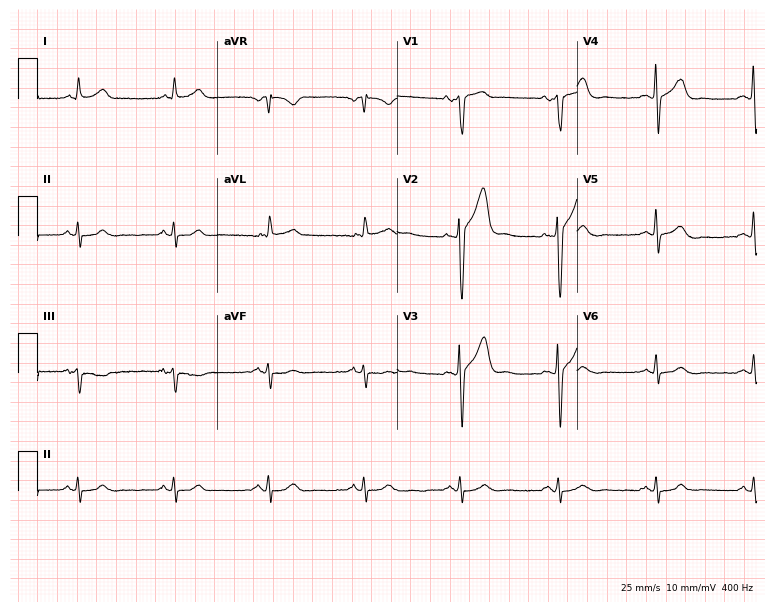
Resting 12-lead electrocardiogram (7.3-second recording at 400 Hz). Patient: a man, 61 years old. None of these six findings is recorded: first-degree AV block, right bundle branch block (RBBB), left bundle branch block (LBBB), sinus bradycardia, atrial fibrillation (AF), sinus tachycardia.